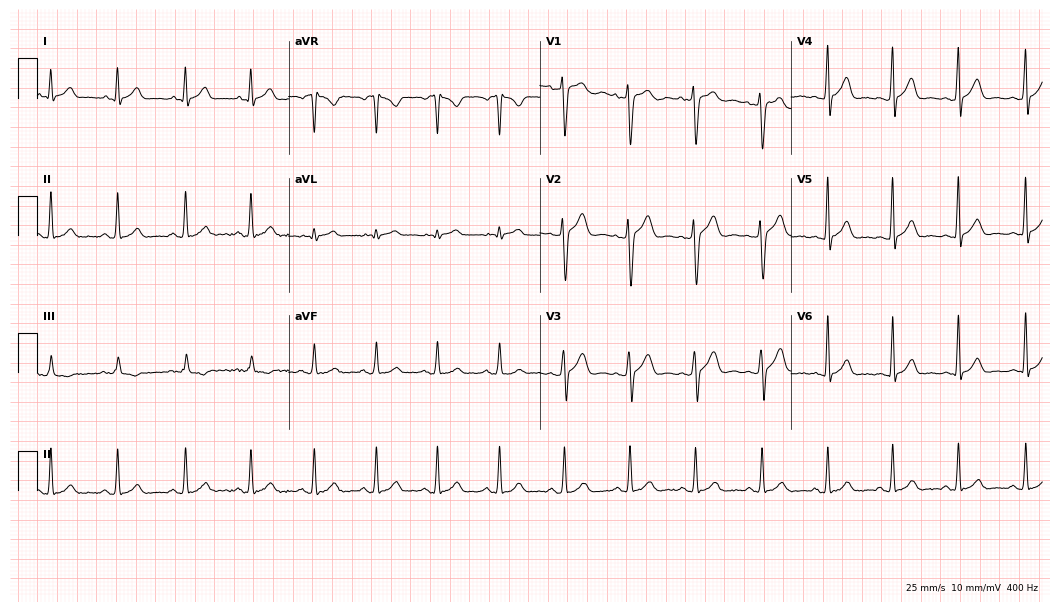
ECG — a 27-year-old male patient. Labelled as a normal ECG.